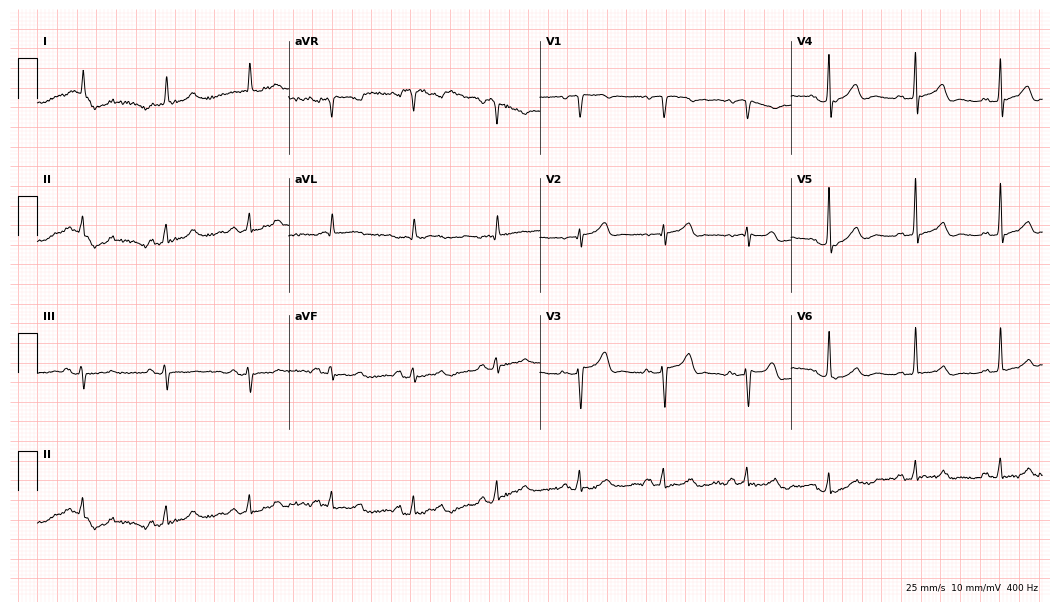
Standard 12-lead ECG recorded from a male patient, 75 years old. Read as a normal ECG.